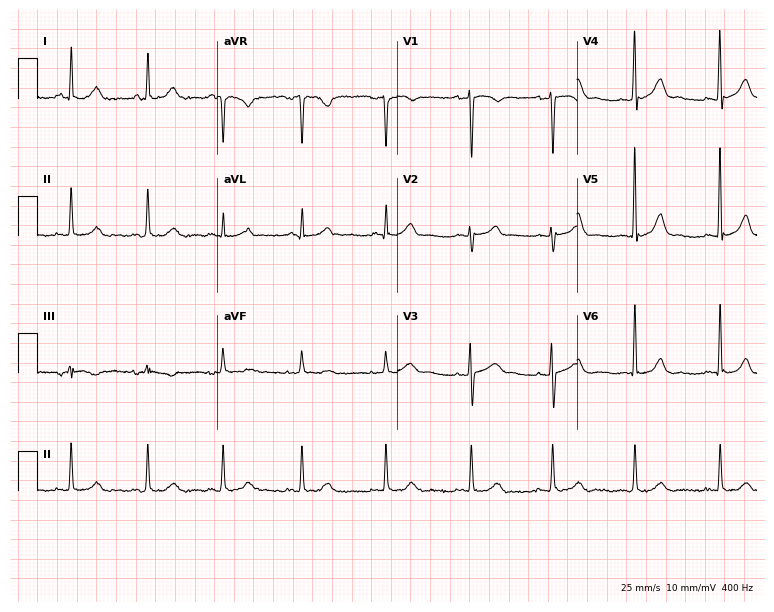
Standard 12-lead ECG recorded from a 21-year-old female patient. Read as a normal ECG.